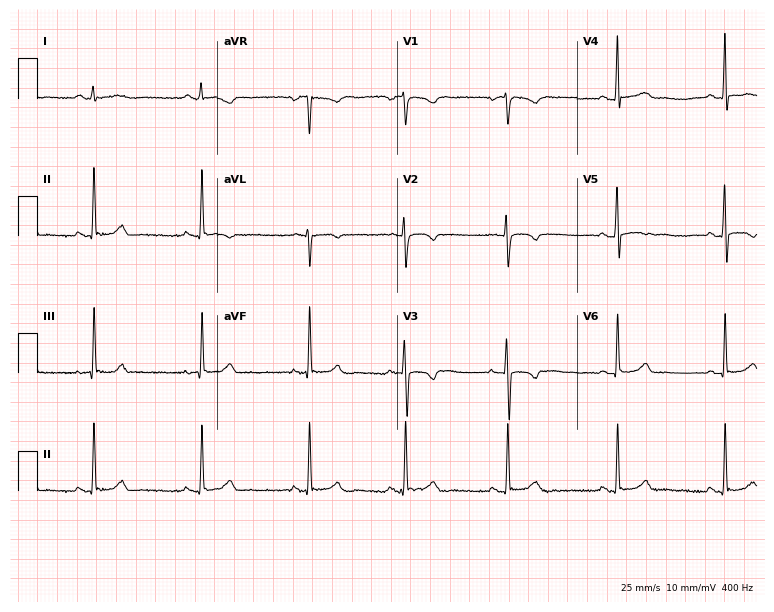
ECG (7.3-second recording at 400 Hz) — a woman, 31 years old. Screened for six findings — first-degree AV block, right bundle branch block (RBBB), left bundle branch block (LBBB), sinus bradycardia, atrial fibrillation (AF), sinus tachycardia — none is recorded.